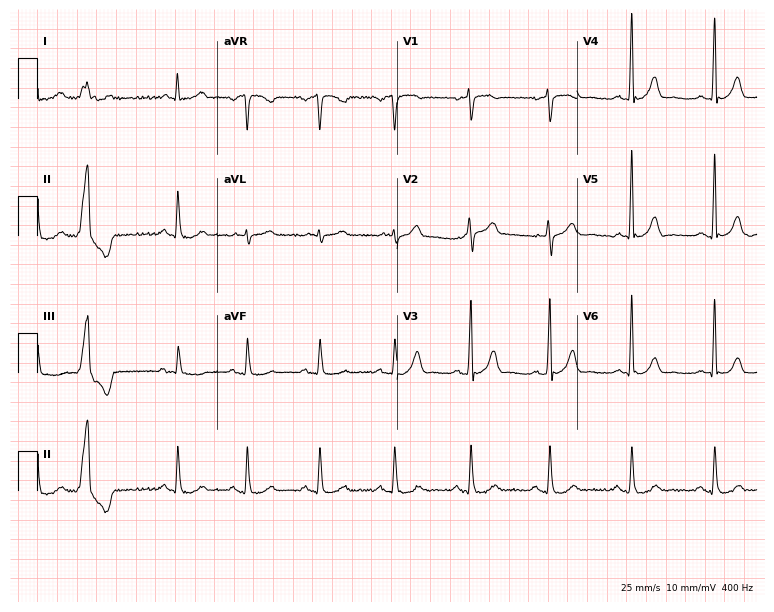
Resting 12-lead electrocardiogram (7.3-second recording at 400 Hz). Patient: a male, 78 years old. Read as a normal ECG.